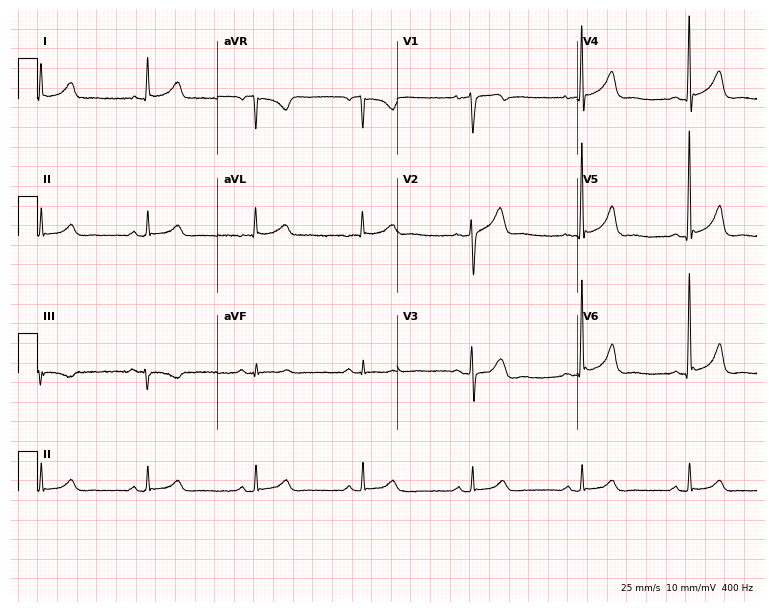
12-lead ECG from a man, 49 years old (7.3-second recording at 400 Hz). No first-degree AV block, right bundle branch block (RBBB), left bundle branch block (LBBB), sinus bradycardia, atrial fibrillation (AF) or sinus tachycardia recorded for this tracing.